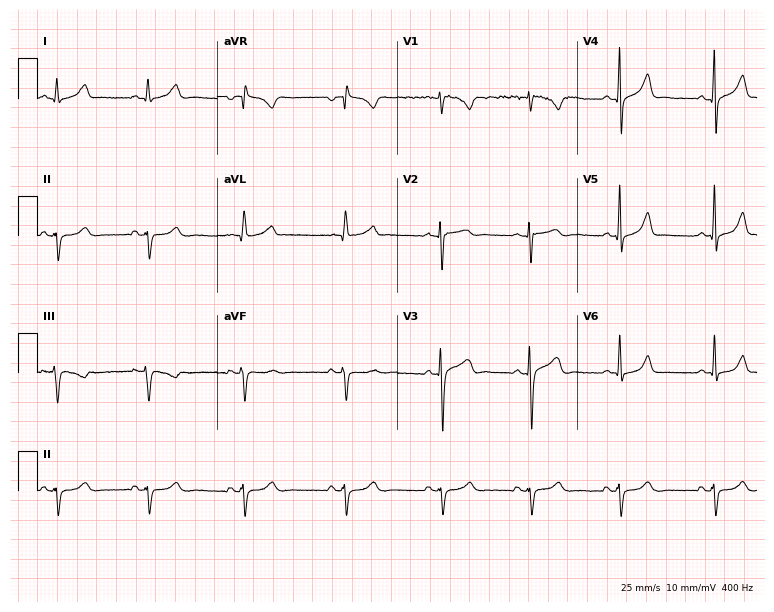
12-lead ECG from a male, 24 years old. Screened for six findings — first-degree AV block, right bundle branch block, left bundle branch block, sinus bradycardia, atrial fibrillation, sinus tachycardia — none is recorded.